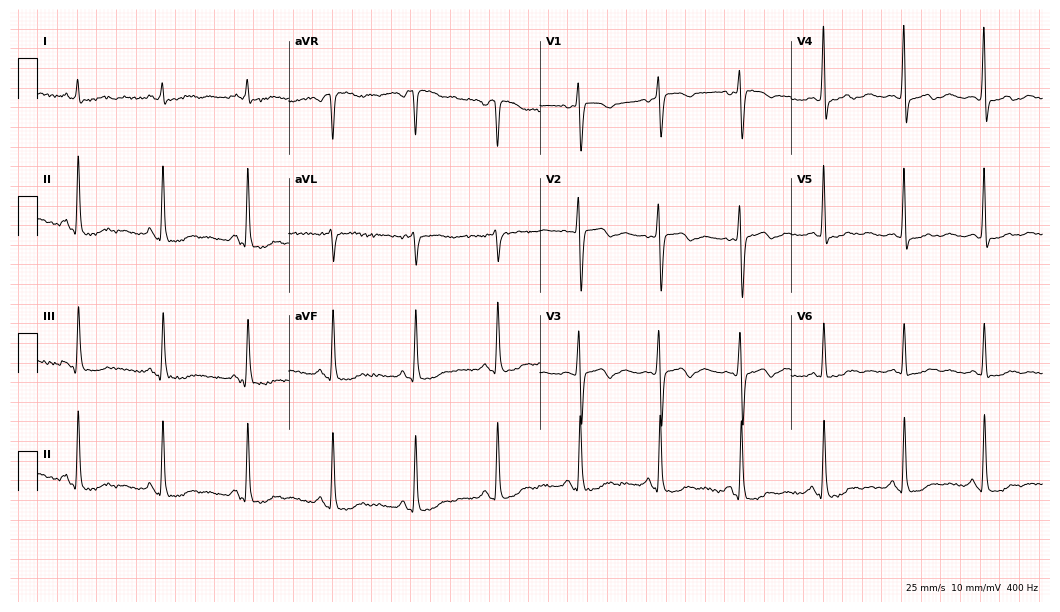
Standard 12-lead ECG recorded from a 58-year-old female patient. None of these six findings is recorded: first-degree AV block, right bundle branch block, left bundle branch block, sinus bradycardia, atrial fibrillation, sinus tachycardia. Only these six findings were labelled.